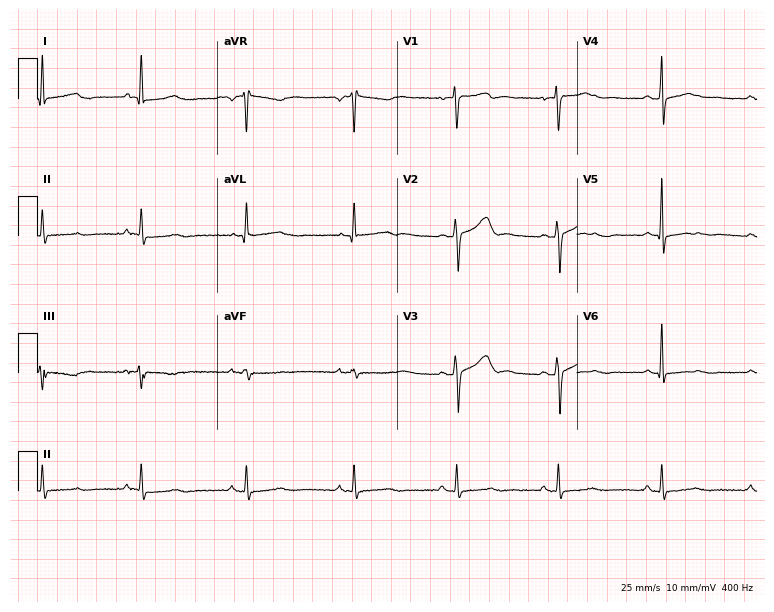
Resting 12-lead electrocardiogram (7.3-second recording at 400 Hz). Patient: a woman, 55 years old. None of these six findings is recorded: first-degree AV block, right bundle branch block, left bundle branch block, sinus bradycardia, atrial fibrillation, sinus tachycardia. Only these six findings were labelled.